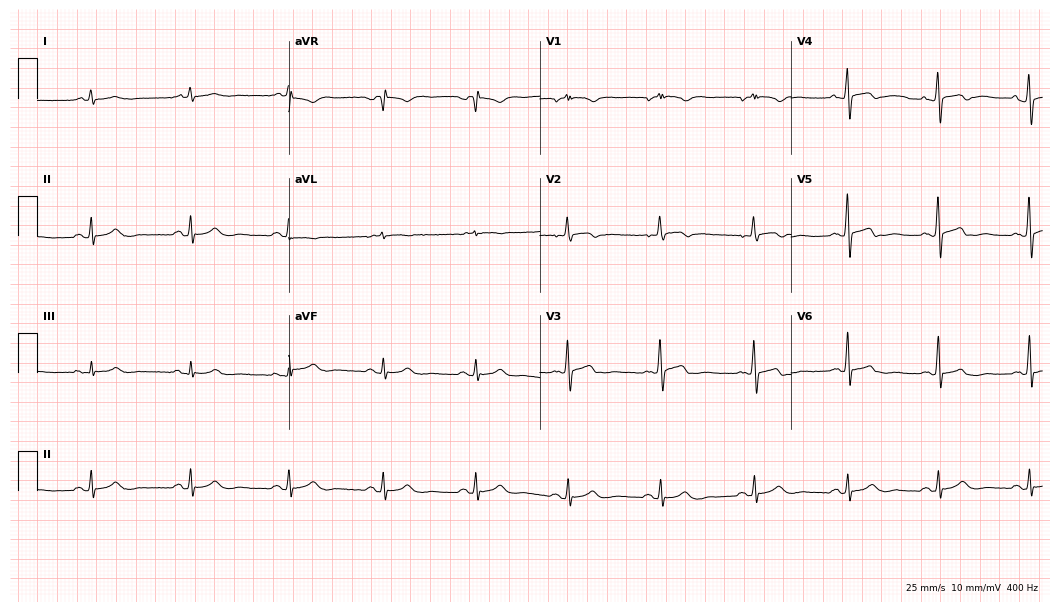
Standard 12-lead ECG recorded from a man, 63 years old. Read as a normal ECG.